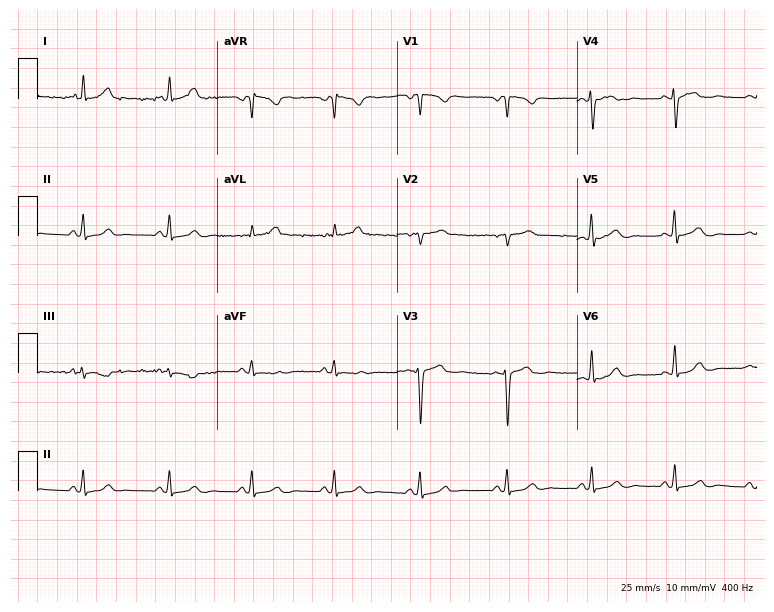
12-lead ECG from a female, 23 years old. Screened for six findings — first-degree AV block, right bundle branch block, left bundle branch block, sinus bradycardia, atrial fibrillation, sinus tachycardia — none is recorded. Other findings, if any, are not listed.